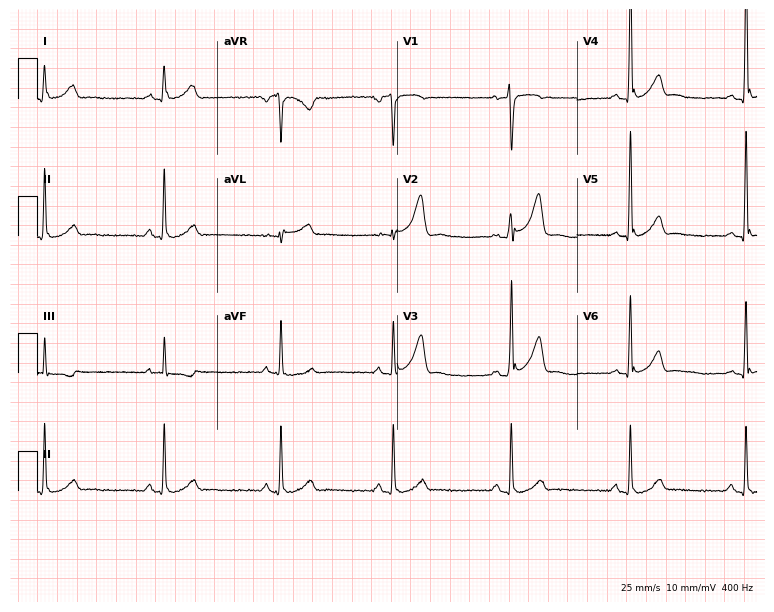
Standard 12-lead ECG recorded from a male, 38 years old (7.3-second recording at 400 Hz). The tracing shows sinus bradycardia (a sinus rate of 50 beats per minute or less).